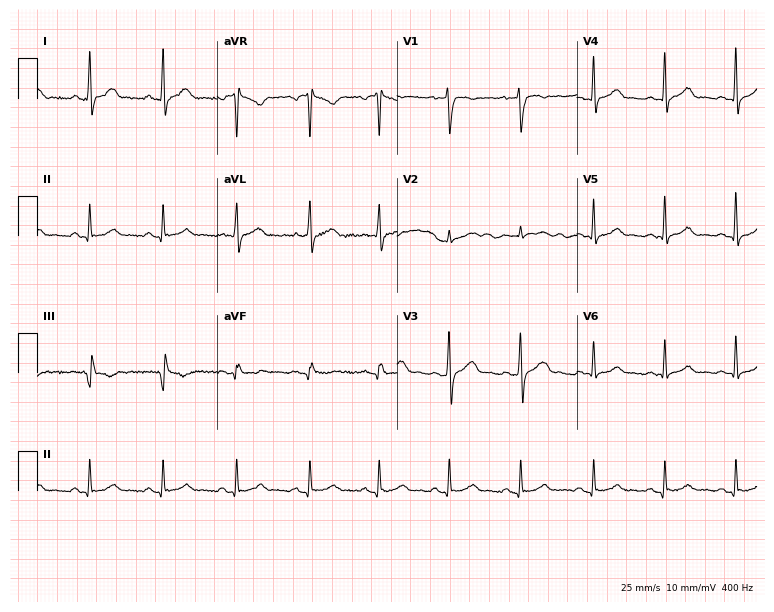
12-lead ECG from a 28-year-old man (7.3-second recording at 400 Hz). Recorded interpretation: within normal limits.